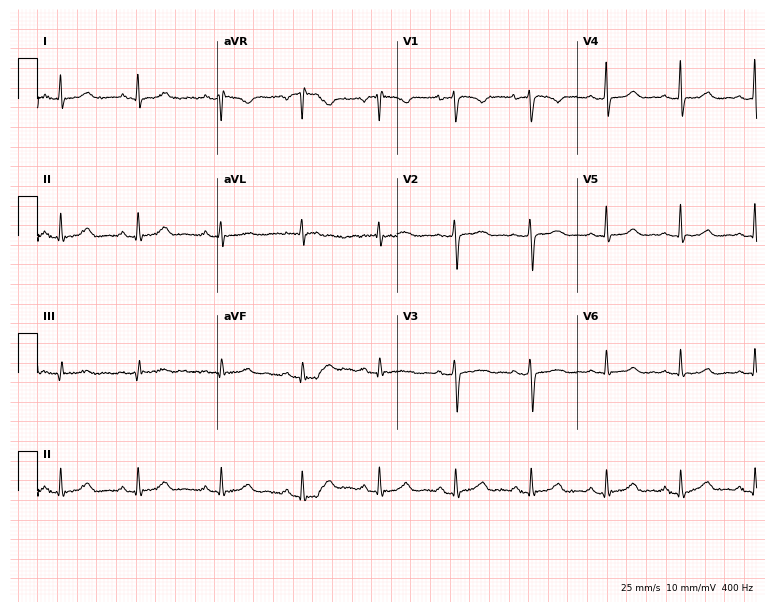
ECG (7.3-second recording at 400 Hz) — a woman, 42 years old. Labelled as a normal ECG.